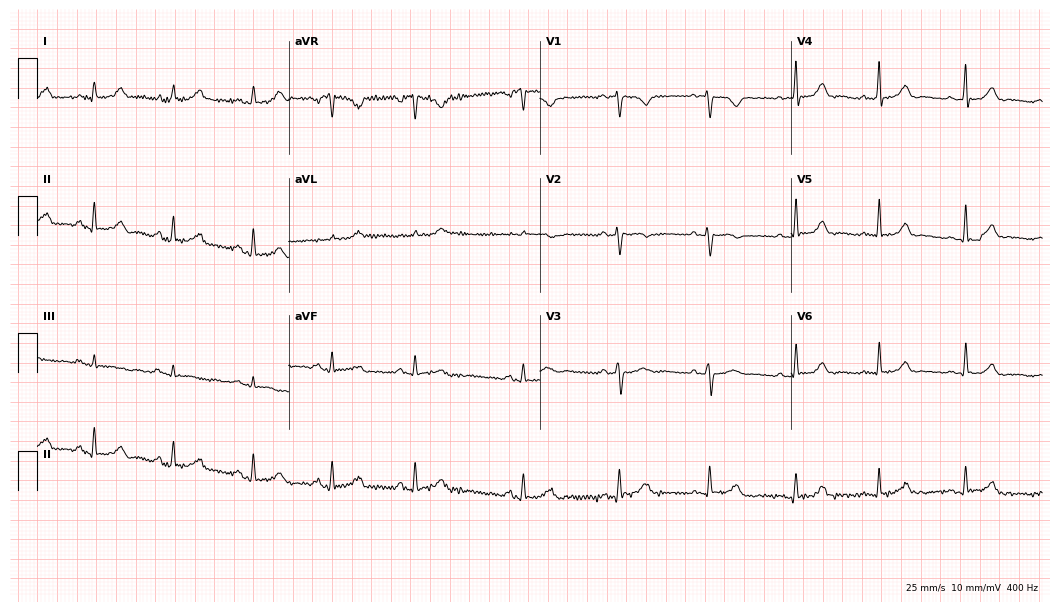
12-lead ECG (10.2-second recording at 400 Hz) from a 34-year-old woman. Screened for six findings — first-degree AV block, right bundle branch block, left bundle branch block, sinus bradycardia, atrial fibrillation, sinus tachycardia — none is recorded. Other findings, if any, are not listed.